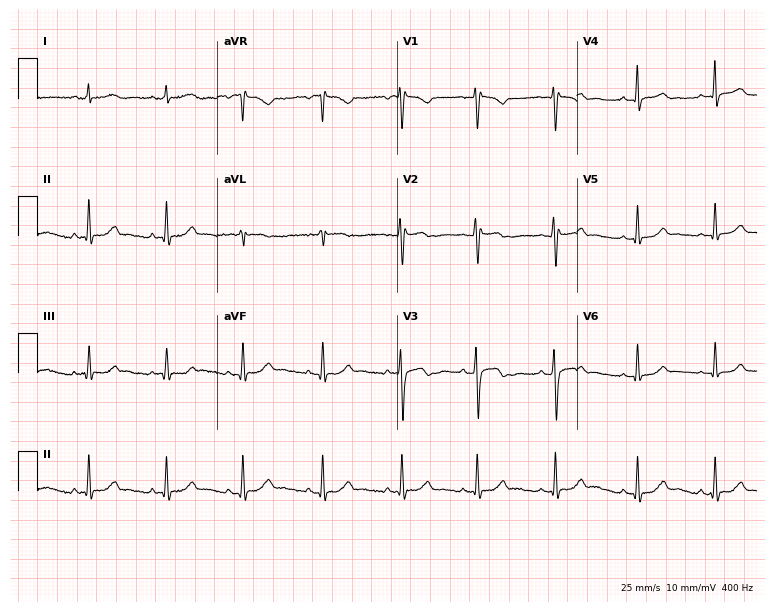
12-lead ECG from a 20-year-old woman (7.3-second recording at 400 Hz). No first-degree AV block, right bundle branch block, left bundle branch block, sinus bradycardia, atrial fibrillation or sinus tachycardia recorded for this tracing.